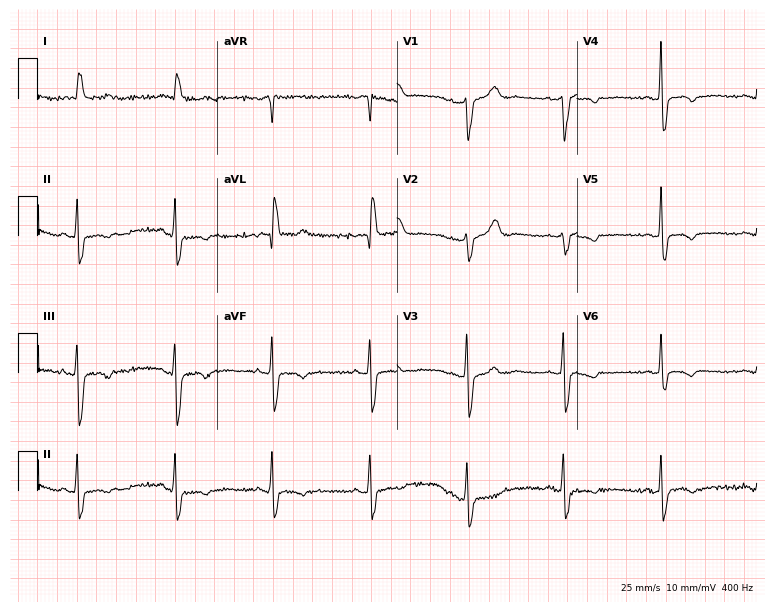
ECG (7.3-second recording at 400 Hz) — an 83-year-old female. Screened for six findings — first-degree AV block, right bundle branch block (RBBB), left bundle branch block (LBBB), sinus bradycardia, atrial fibrillation (AF), sinus tachycardia — none is recorded. Other findings, if any, are not listed.